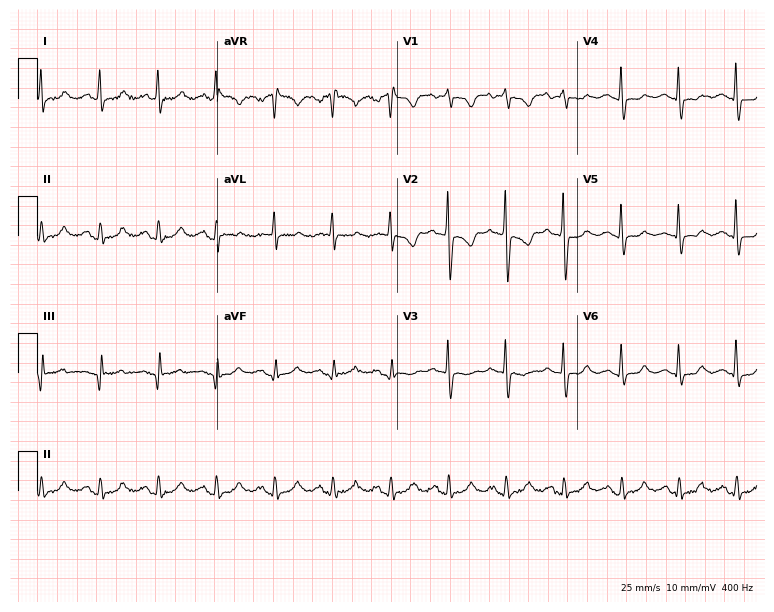
Electrocardiogram, a 63-year-old female. Interpretation includes sinus tachycardia (a sinus rate of 100 beats per minute or more).